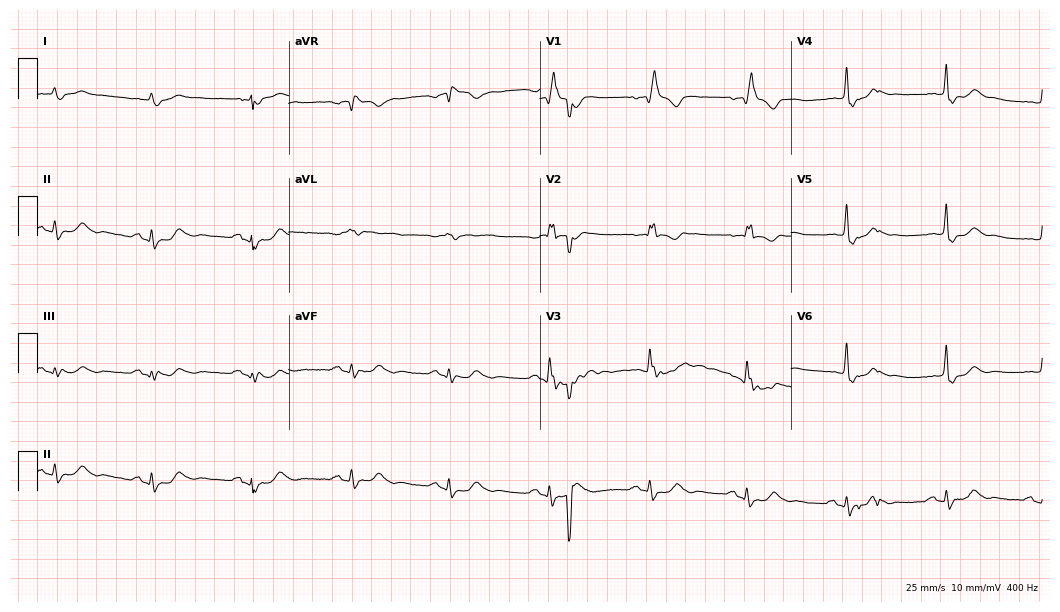
Resting 12-lead electrocardiogram. Patient: an 82-year-old male. None of these six findings is recorded: first-degree AV block, right bundle branch block, left bundle branch block, sinus bradycardia, atrial fibrillation, sinus tachycardia. Other findings, if any, are not listed.